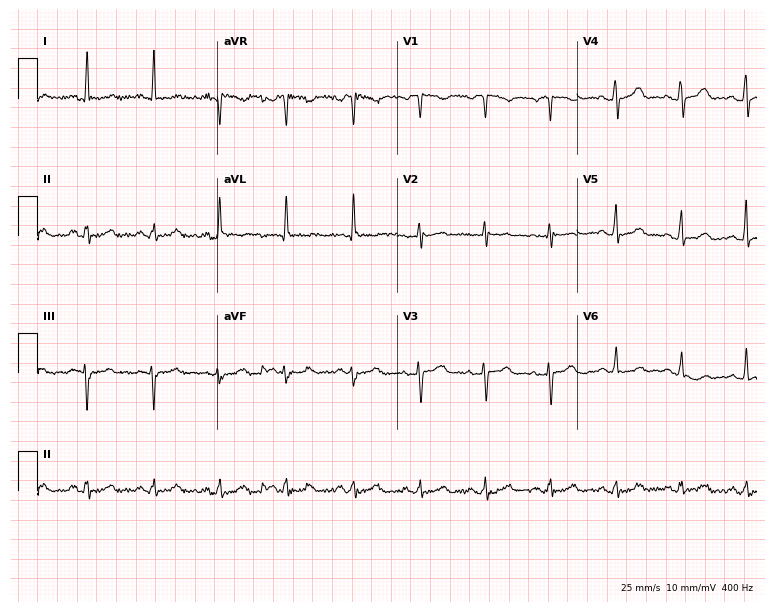
ECG (7.3-second recording at 400 Hz) — a woman, 65 years old. Labelled as a normal ECG.